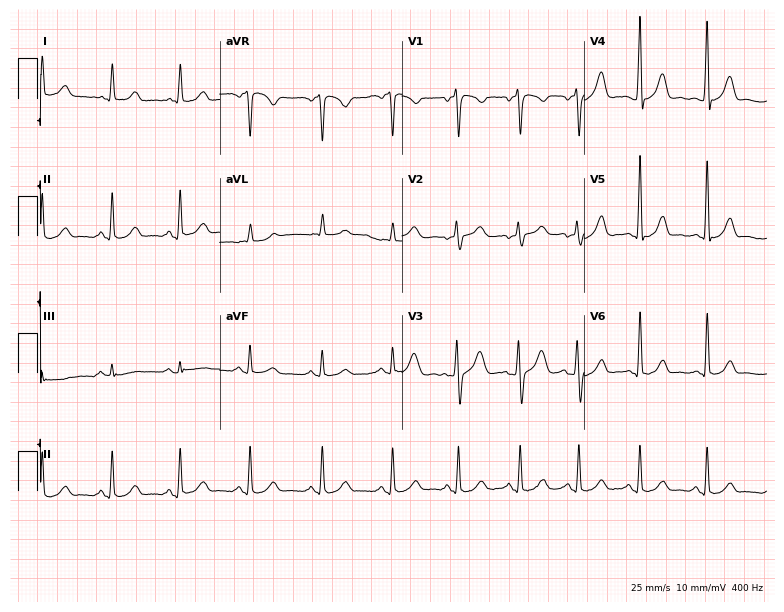
ECG — a female patient, 35 years old. Labelled as a normal ECG.